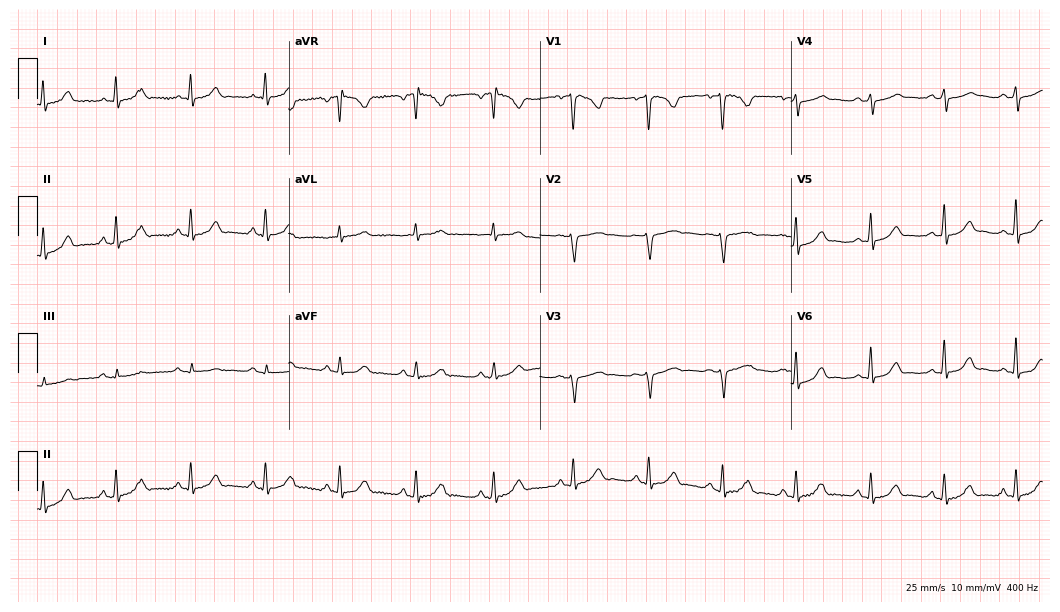
ECG (10.2-second recording at 400 Hz) — a 33-year-old woman. Screened for six findings — first-degree AV block, right bundle branch block, left bundle branch block, sinus bradycardia, atrial fibrillation, sinus tachycardia — none is recorded. Other findings, if any, are not listed.